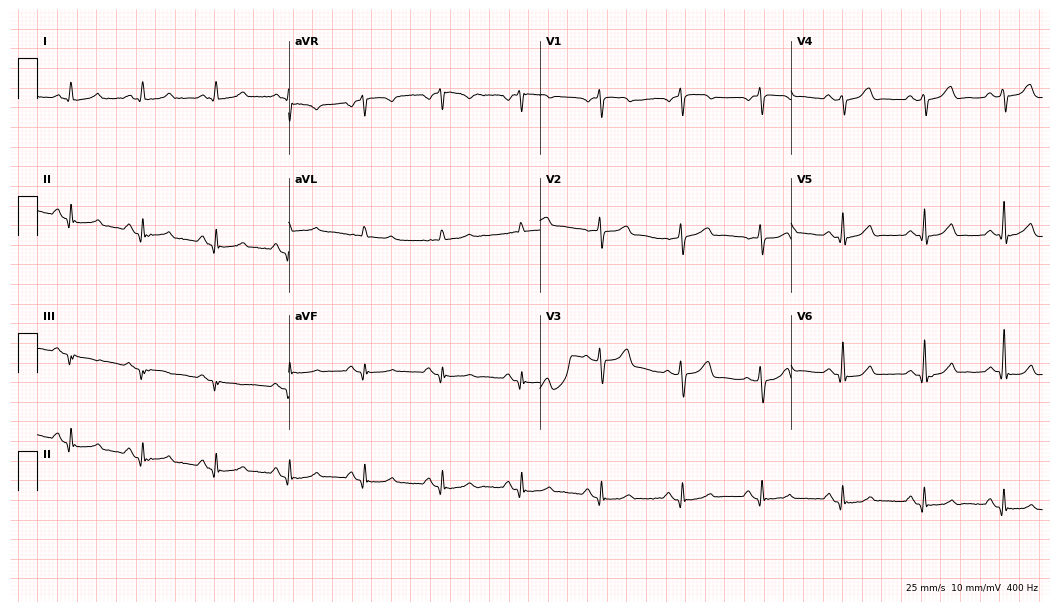
ECG (10.2-second recording at 400 Hz) — a 66-year-old man. Labelled as a normal ECG.